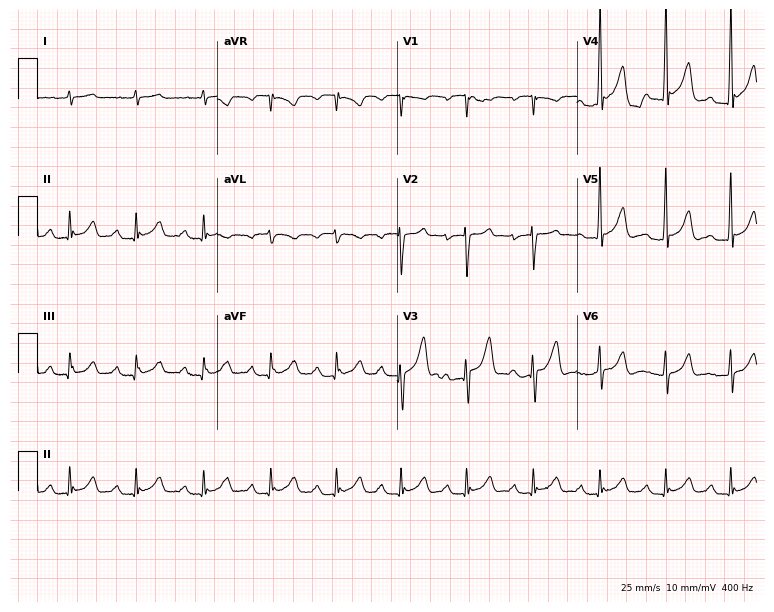
Resting 12-lead electrocardiogram (7.3-second recording at 400 Hz). Patient: a male, 77 years old. The tracing shows first-degree AV block.